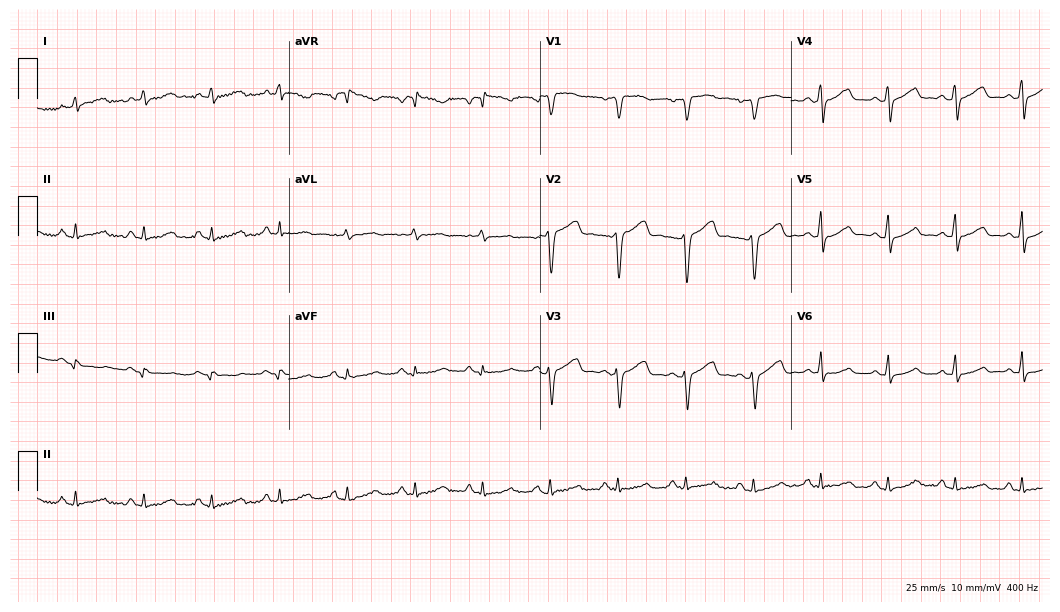
12-lead ECG from a 30-year-old female patient. Recorded interpretation: within normal limits.